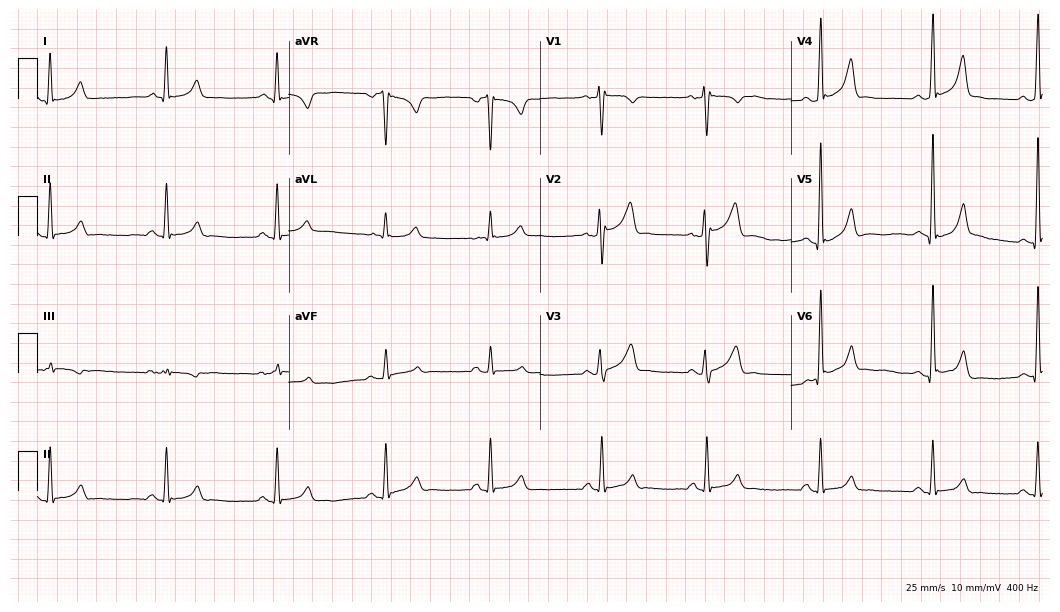
ECG — a 42-year-old man. Labelled as a normal ECG.